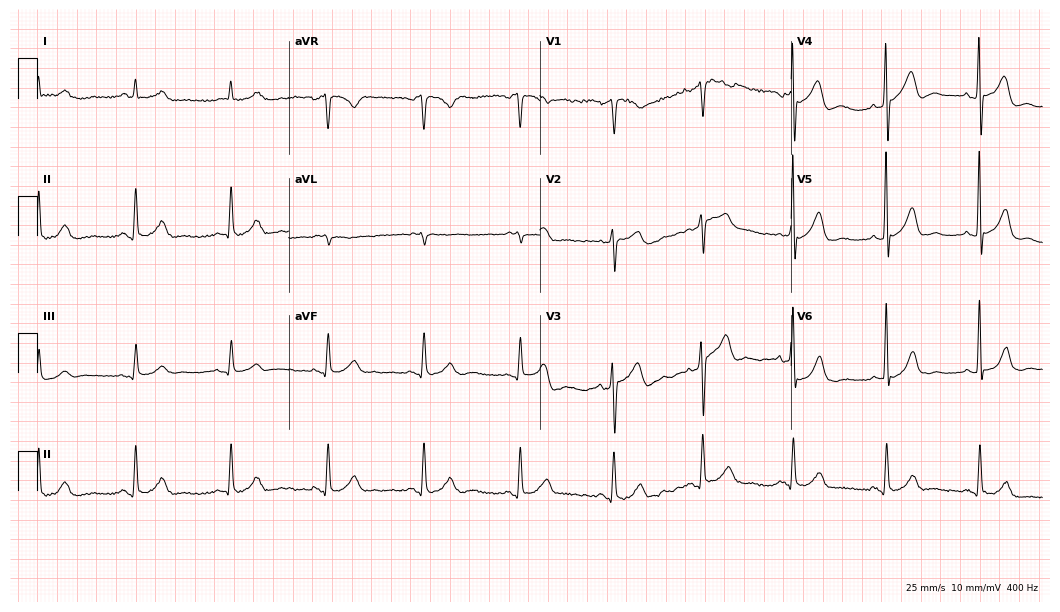
12-lead ECG from a 61-year-old male patient. No first-degree AV block, right bundle branch block, left bundle branch block, sinus bradycardia, atrial fibrillation or sinus tachycardia recorded for this tracing.